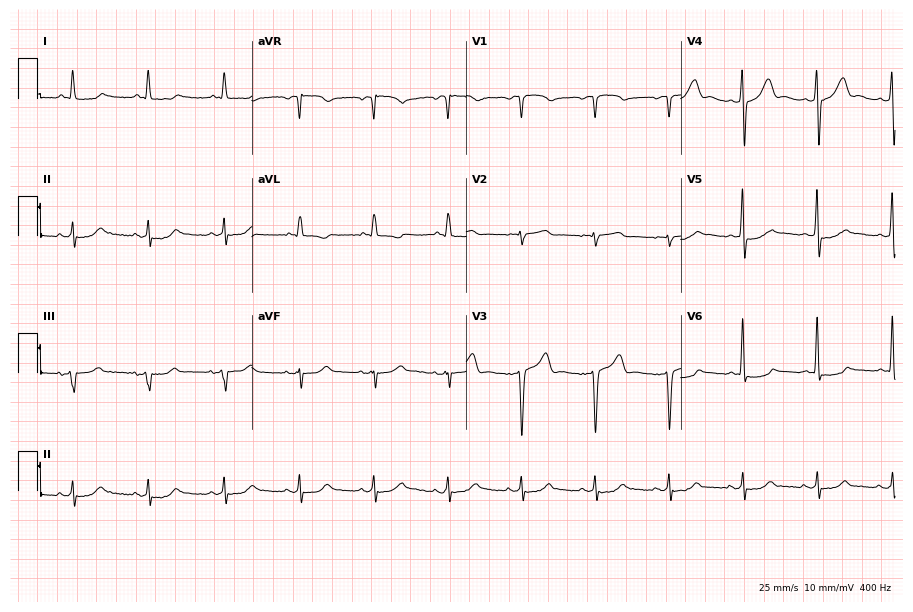
Resting 12-lead electrocardiogram (8.7-second recording at 400 Hz). Patient: a 60-year-old man. None of these six findings is recorded: first-degree AV block, right bundle branch block (RBBB), left bundle branch block (LBBB), sinus bradycardia, atrial fibrillation (AF), sinus tachycardia. Other findings, if any, are not listed.